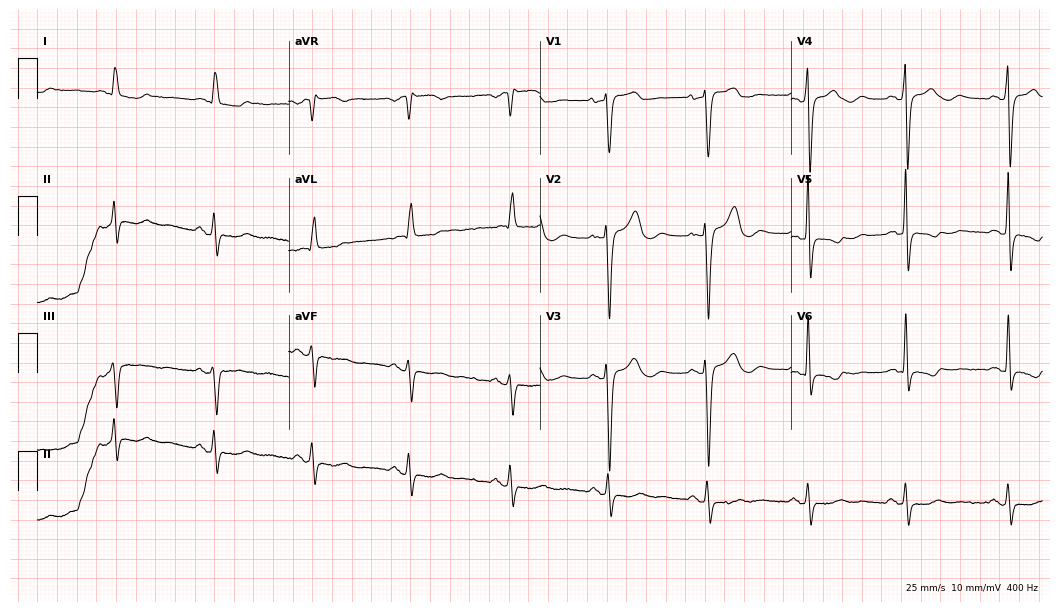
12-lead ECG from a 54-year-old female patient. No first-degree AV block, right bundle branch block (RBBB), left bundle branch block (LBBB), sinus bradycardia, atrial fibrillation (AF) or sinus tachycardia recorded for this tracing.